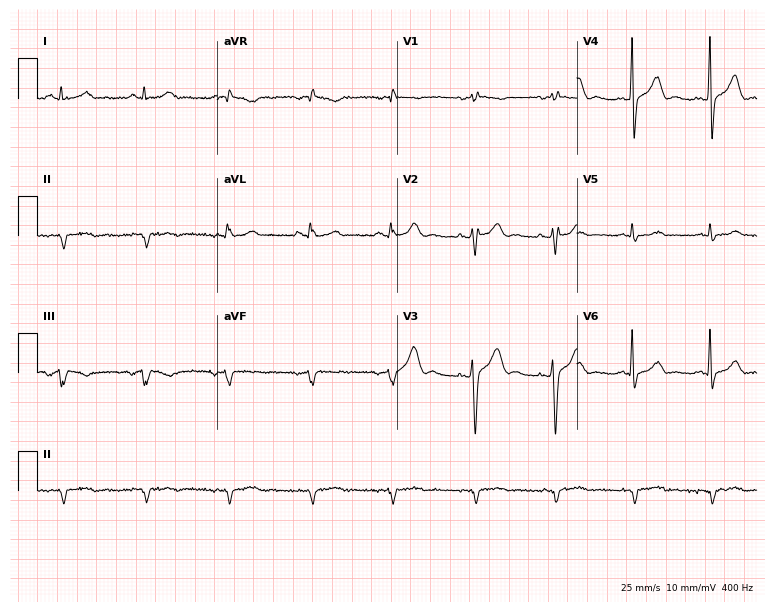
Resting 12-lead electrocardiogram. Patient: a male, 46 years old. None of these six findings is recorded: first-degree AV block, right bundle branch block, left bundle branch block, sinus bradycardia, atrial fibrillation, sinus tachycardia.